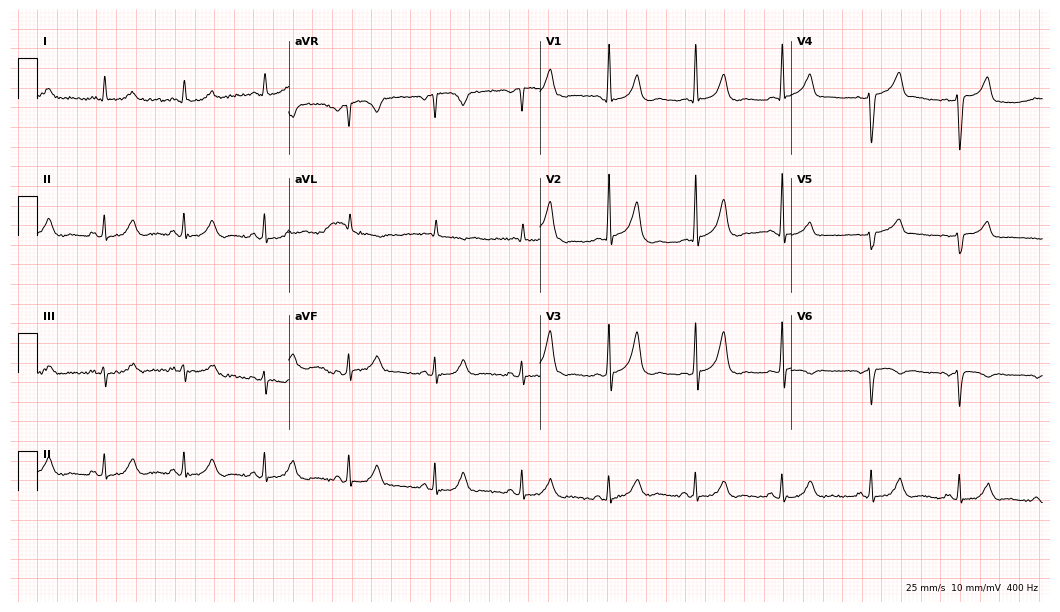
Standard 12-lead ECG recorded from a female, 44 years old. None of these six findings is recorded: first-degree AV block, right bundle branch block, left bundle branch block, sinus bradycardia, atrial fibrillation, sinus tachycardia.